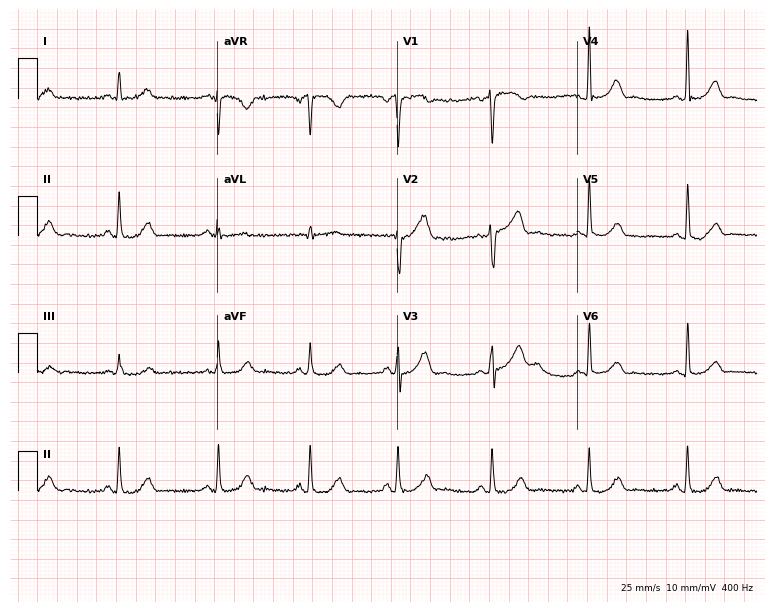
Resting 12-lead electrocardiogram (7.3-second recording at 400 Hz). Patient: a male, 46 years old. Read as a normal ECG.